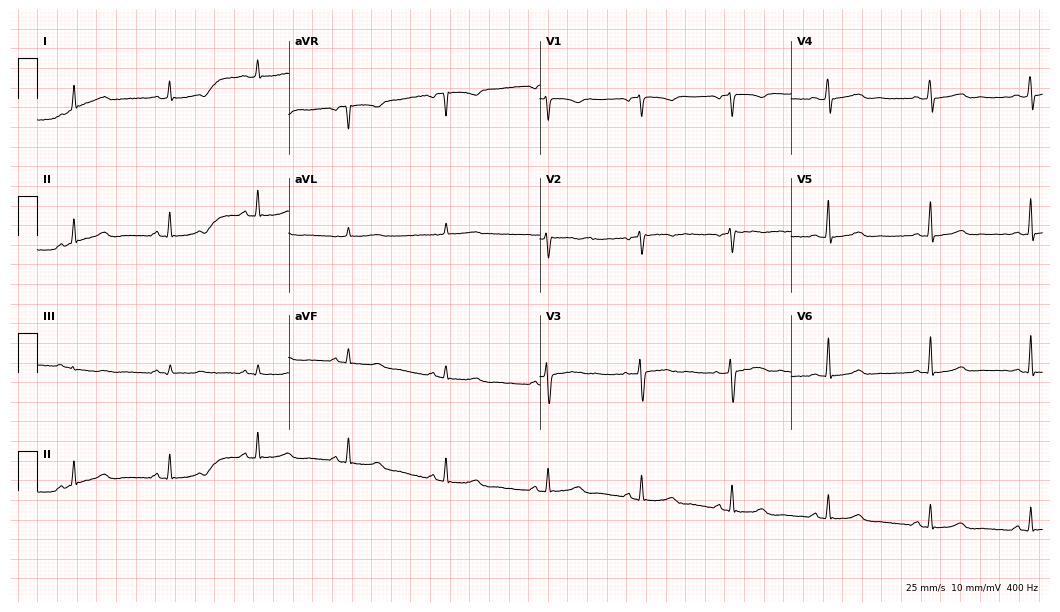
12-lead ECG from a woman, 37 years old (10.2-second recording at 400 Hz). No first-degree AV block, right bundle branch block (RBBB), left bundle branch block (LBBB), sinus bradycardia, atrial fibrillation (AF) or sinus tachycardia recorded for this tracing.